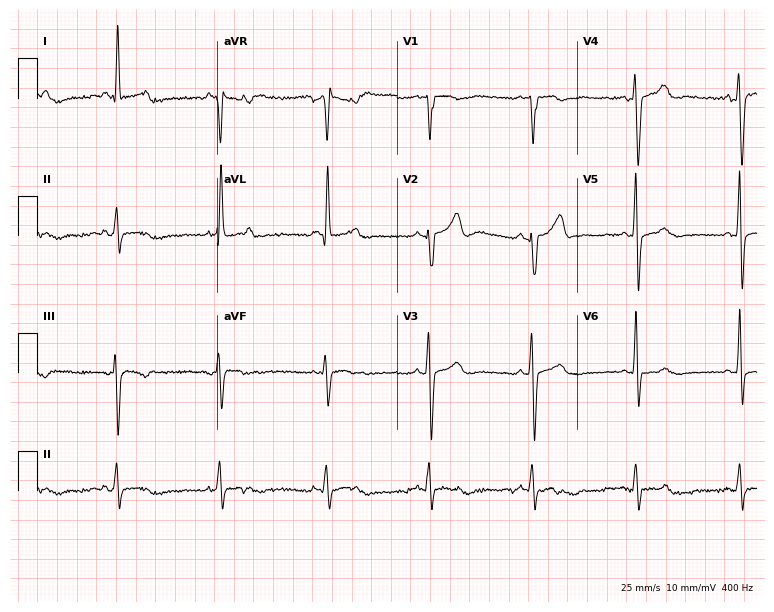
Resting 12-lead electrocardiogram (7.3-second recording at 400 Hz). Patient: a man, 48 years old. Read as a normal ECG.